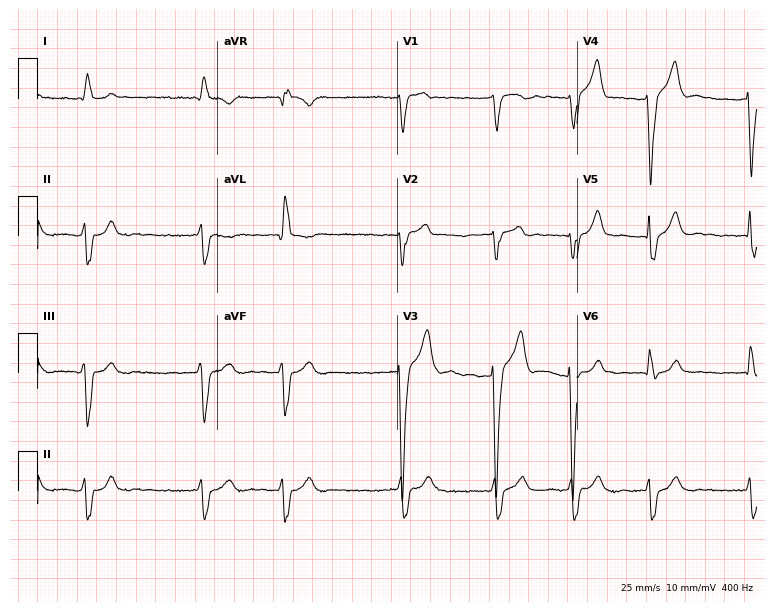
Resting 12-lead electrocardiogram (7.3-second recording at 400 Hz). Patient: a male, 71 years old. The tracing shows atrial fibrillation (AF).